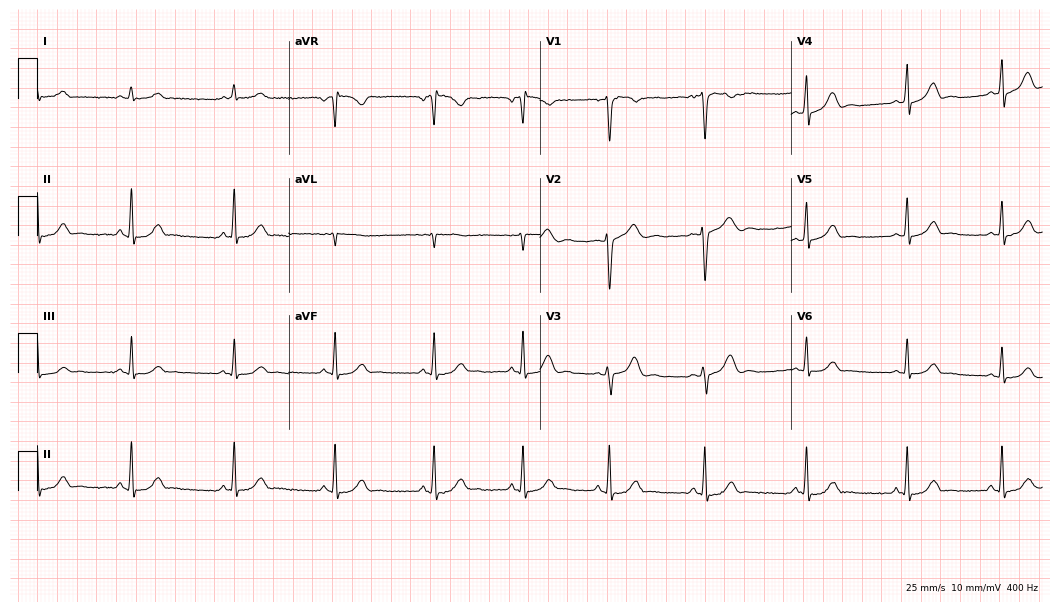
Electrocardiogram, a female, 28 years old. Overall reading on record: normal ECG.